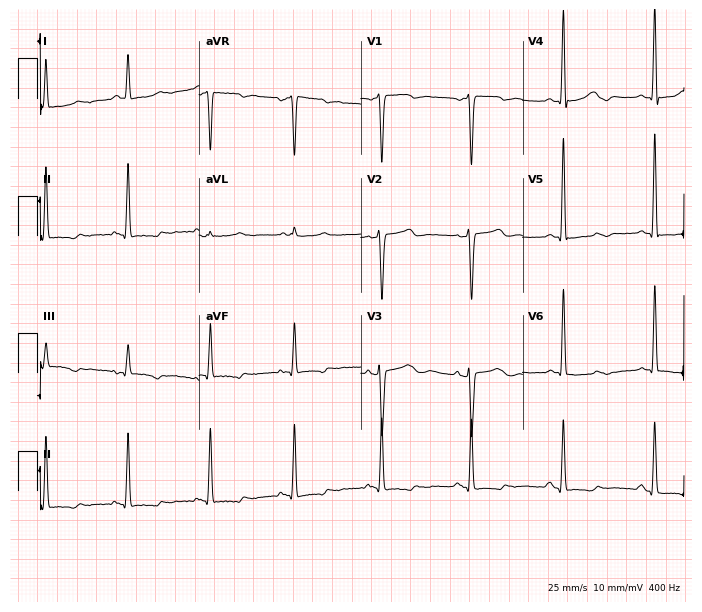
ECG — a 45-year-old female. Screened for six findings — first-degree AV block, right bundle branch block (RBBB), left bundle branch block (LBBB), sinus bradycardia, atrial fibrillation (AF), sinus tachycardia — none is recorded.